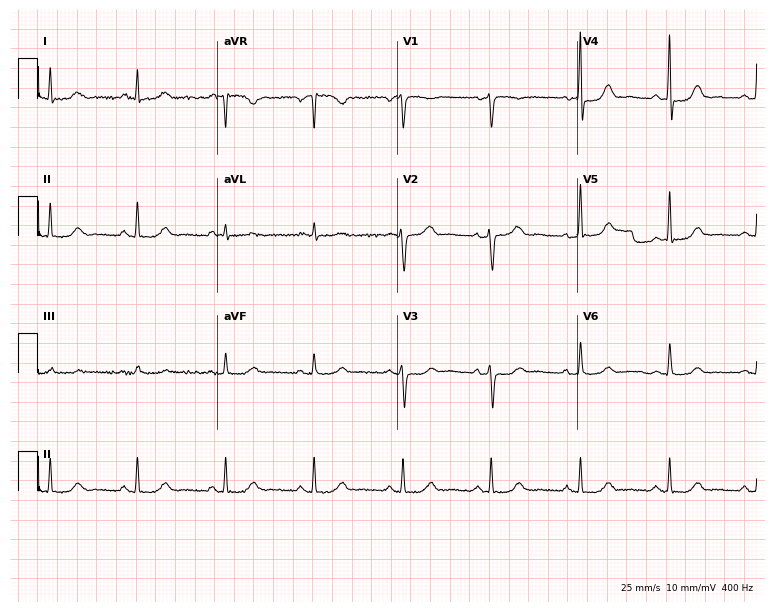
ECG — a woman, 62 years old. Labelled as a normal ECG.